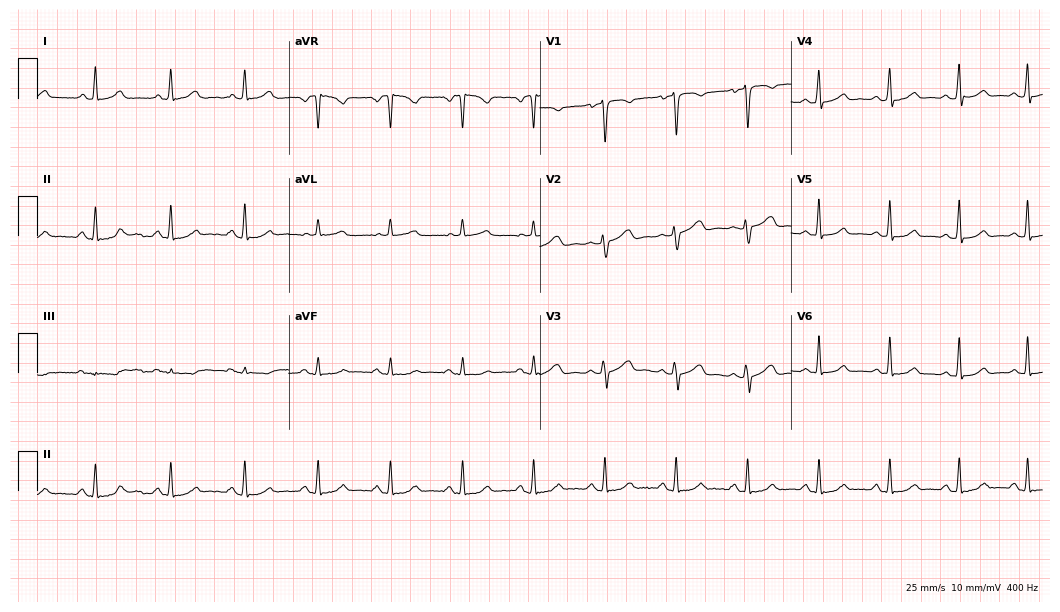
12-lead ECG from a female, 35 years old. Recorded interpretation: within normal limits.